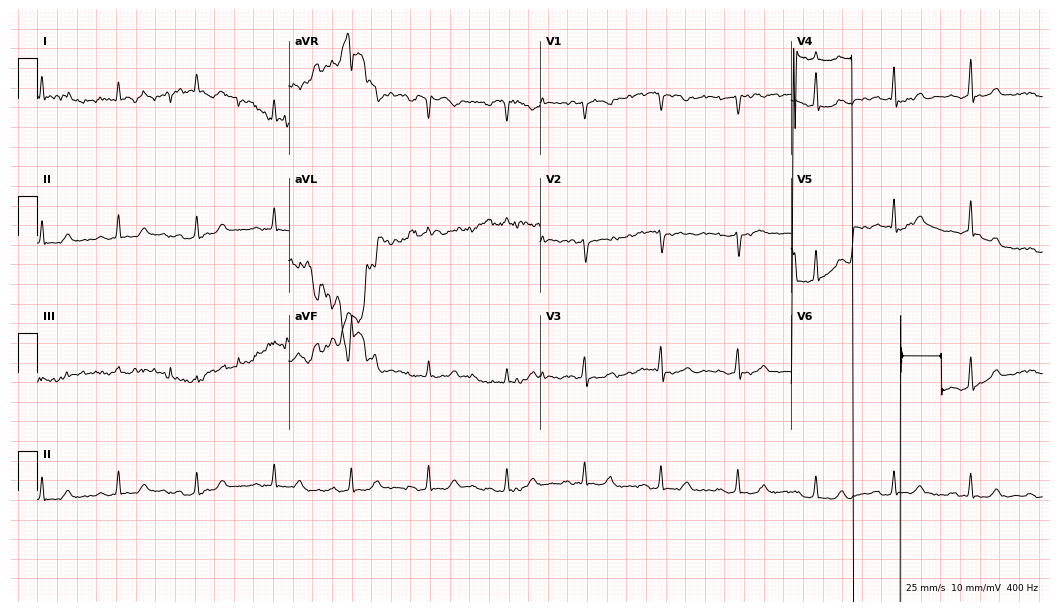
Electrocardiogram, a woman, 59 years old. Of the six screened findings (first-degree AV block, right bundle branch block, left bundle branch block, sinus bradycardia, atrial fibrillation, sinus tachycardia), none is recorded.